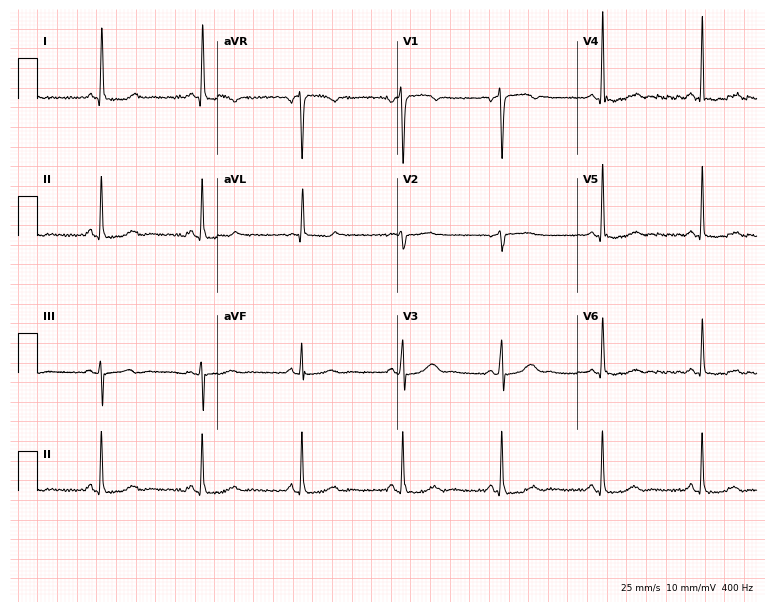
Standard 12-lead ECG recorded from a female patient, 85 years old (7.3-second recording at 400 Hz). None of these six findings is recorded: first-degree AV block, right bundle branch block (RBBB), left bundle branch block (LBBB), sinus bradycardia, atrial fibrillation (AF), sinus tachycardia. Other findings, if any, are not listed.